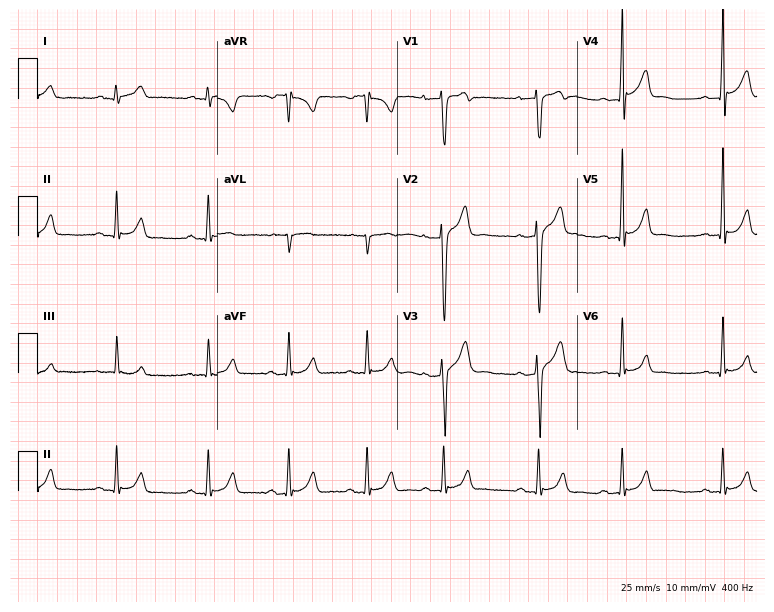
12-lead ECG from a 19-year-old male. Recorded interpretation: within normal limits.